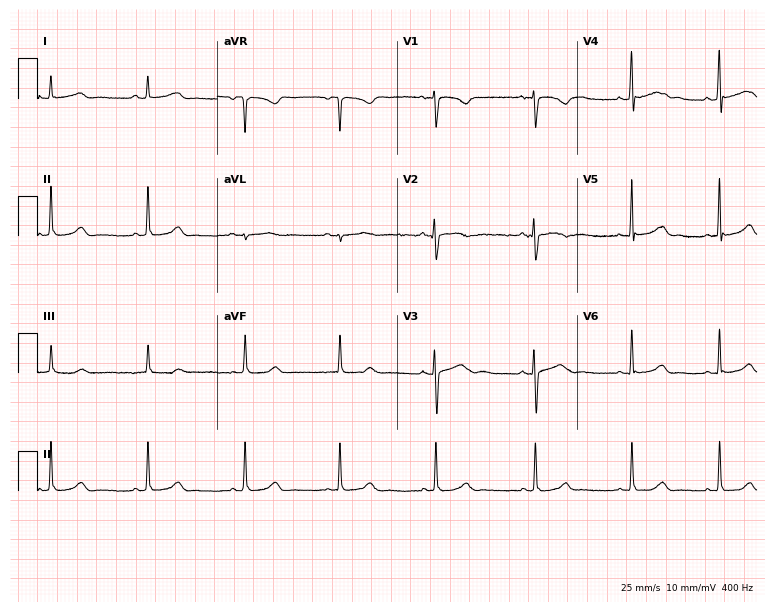
Resting 12-lead electrocardiogram (7.3-second recording at 400 Hz). Patient: a 17-year-old female. None of these six findings is recorded: first-degree AV block, right bundle branch block (RBBB), left bundle branch block (LBBB), sinus bradycardia, atrial fibrillation (AF), sinus tachycardia. Other findings, if any, are not listed.